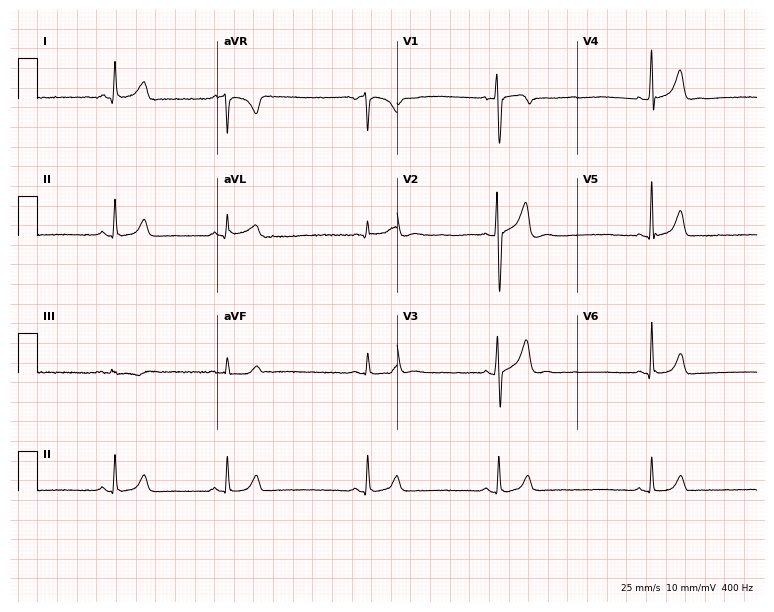
12-lead ECG from a 28-year-old man (7.3-second recording at 400 Hz). Shows sinus bradycardia (a sinus rate of 50 beats per minute or less).